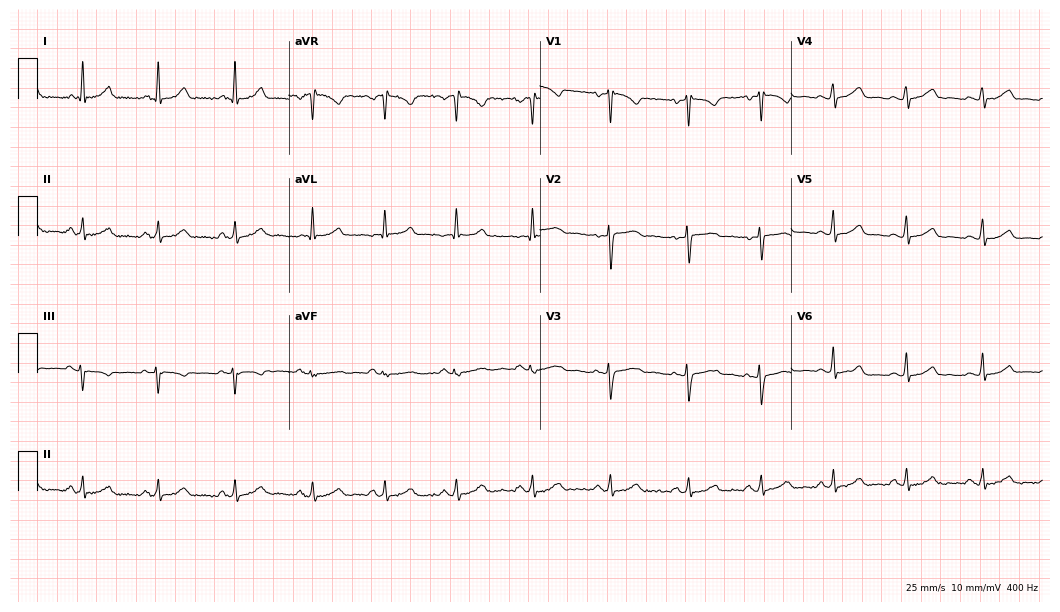
ECG — a 31-year-old female. Labelled as a normal ECG.